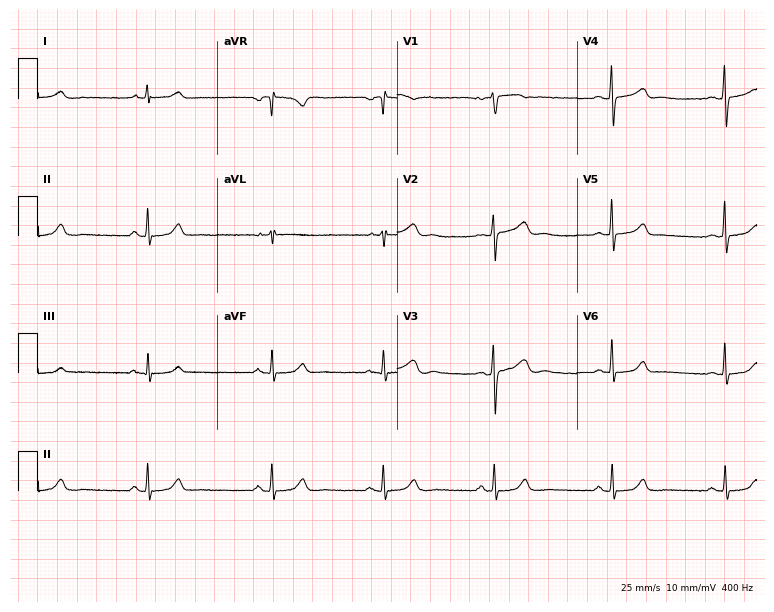
ECG — a woman, 33 years old. Screened for six findings — first-degree AV block, right bundle branch block, left bundle branch block, sinus bradycardia, atrial fibrillation, sinus tachycardia — none is recorded.